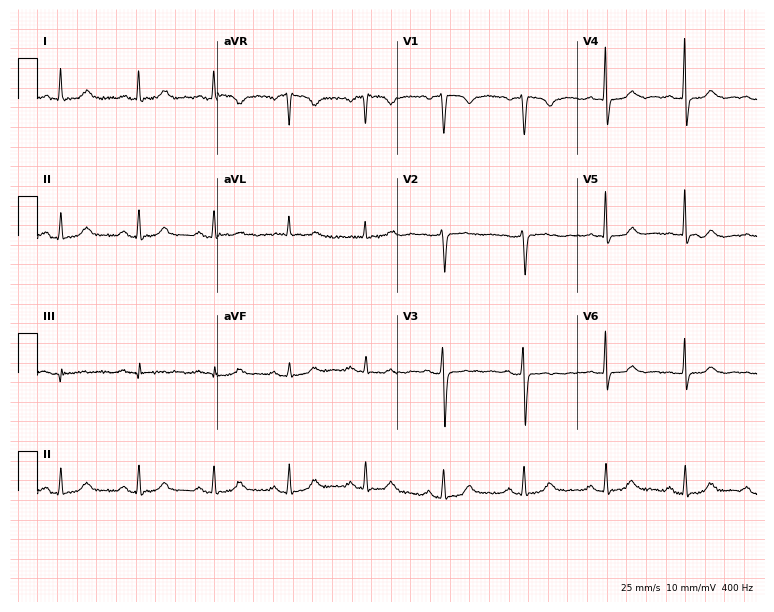
12-lead ECG from a female patient, 44 years old (7.3-second recording at 400 Hz). No first-degree AV block, right bundle branch block, left bundle branch block, sinus bradycardia, atrial fibrillation or sinus tachycardia recorded for this tracing. Findings outside these six are not listed.